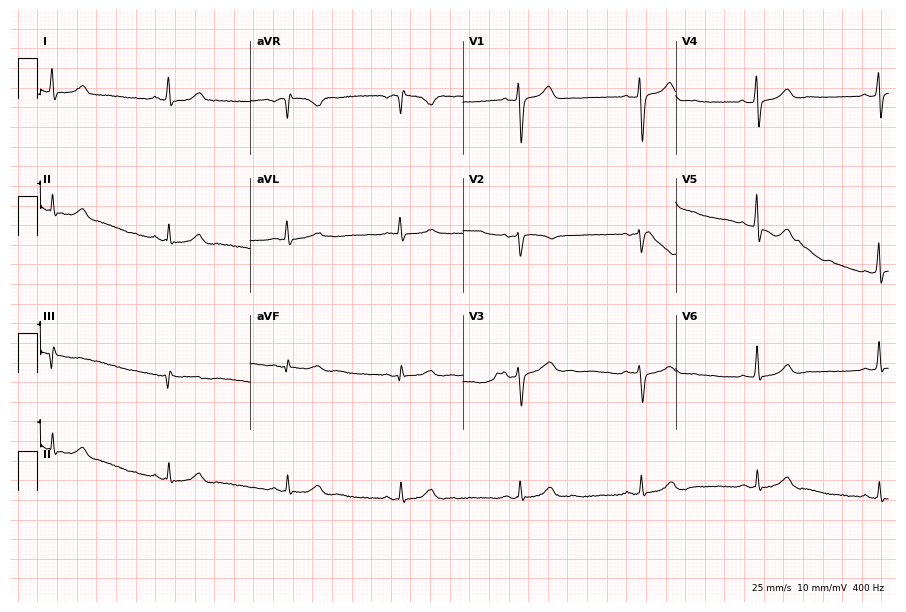
12-lead ECG from a 60-year-old male patient. Recorded interpretation: within normal limits.